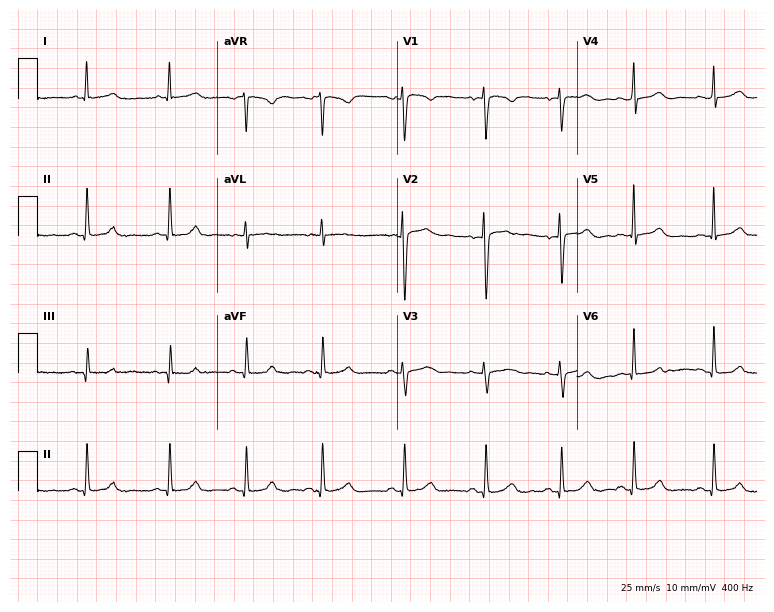
ECG — a 38-year-old female patient. Screened for six findings — first-degree AV block, right bundle branch block (RBBB), left bundle branch block (LBBB), sinus bradycardia, atrial fibrillation (AF), sinus tachycardia — none is recorded. Other findings, if any, are not listed.